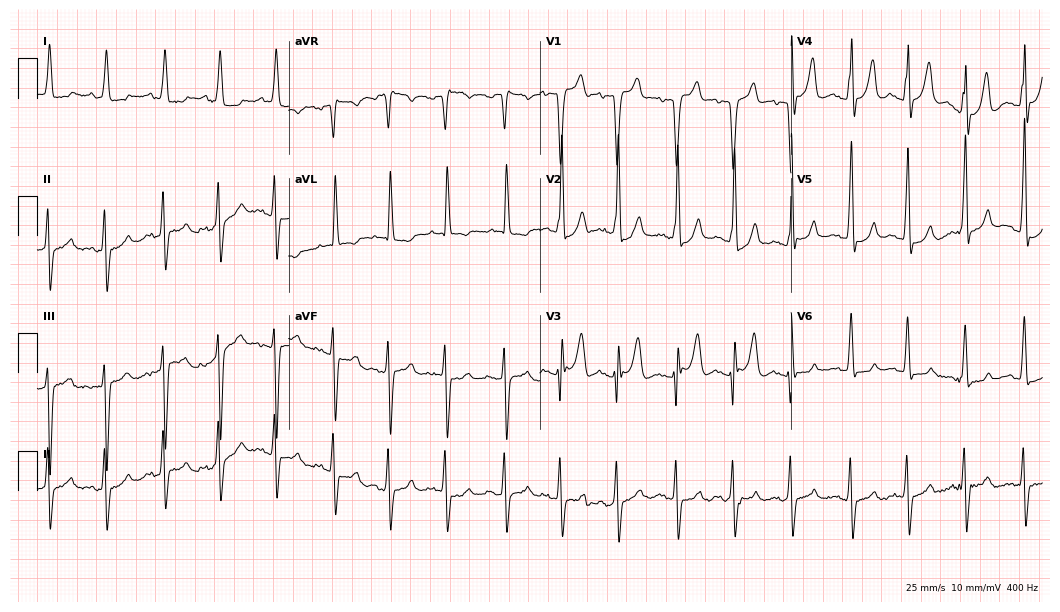
Standard 12-lead ECG recorded from an 84-year-old female (10.2-second recording at 400 Hz). Read as a normal ECG.